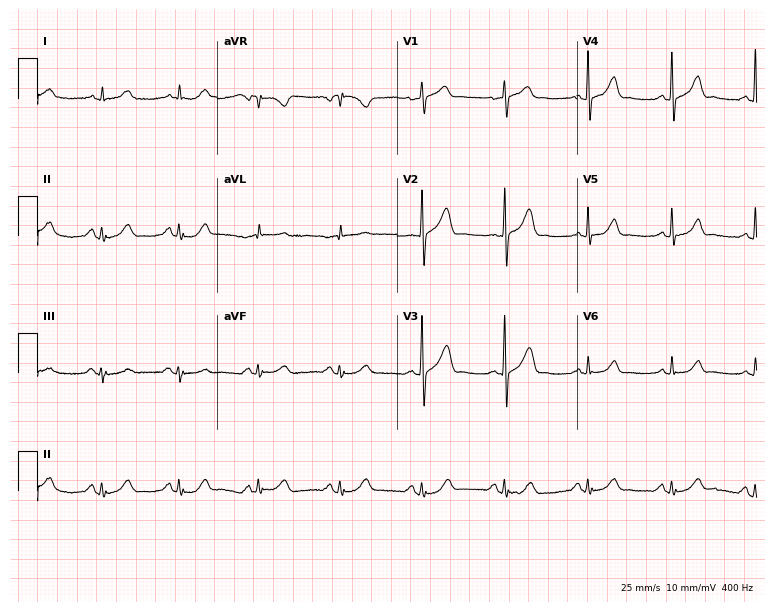
Electrocardiogram, a male, 71 years old. Of the six screened findings (first-degree AV block, right bundle branch block (RBBB), left bundle branch block (LBBB), sinus bradycardia, atrial fibrillation (AF), sinus tachycardia), none is recorded. Findings outside these six are not listed.